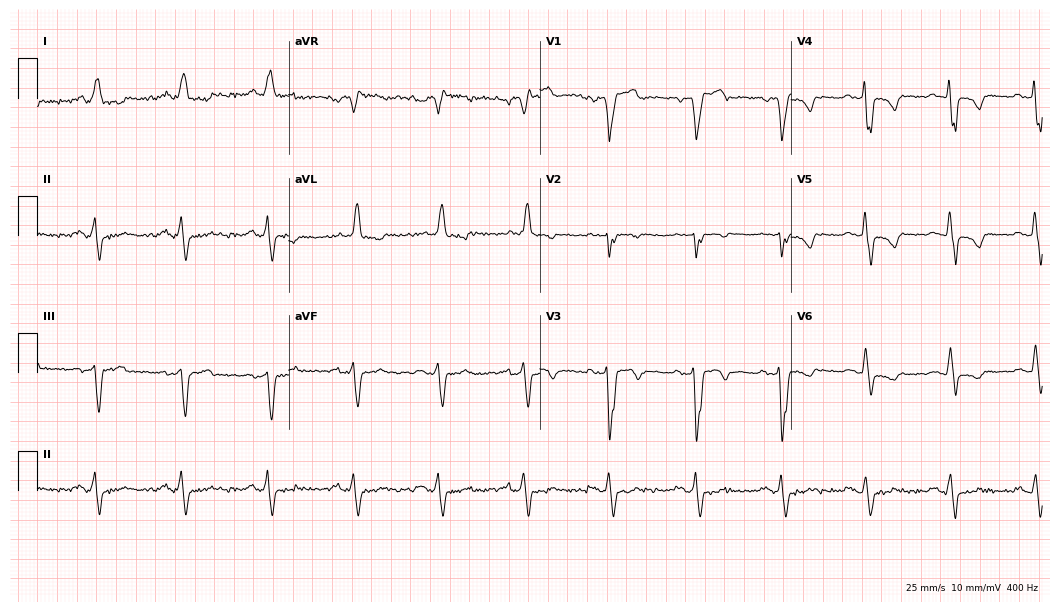
Electrocardiogram (10.2-second recording at 400 Hz), a 62-year-old male patient. Interpretation includes left bundle branch block (LBBB).